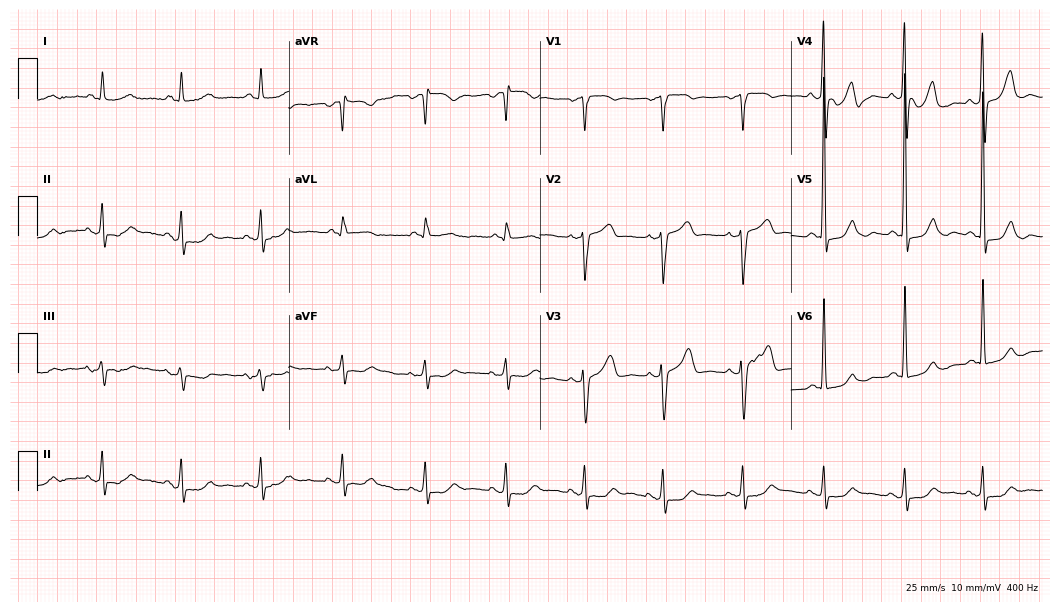
Electrocardiogram, a 62-year-old male patient. Overall reading on record: normal ECG.